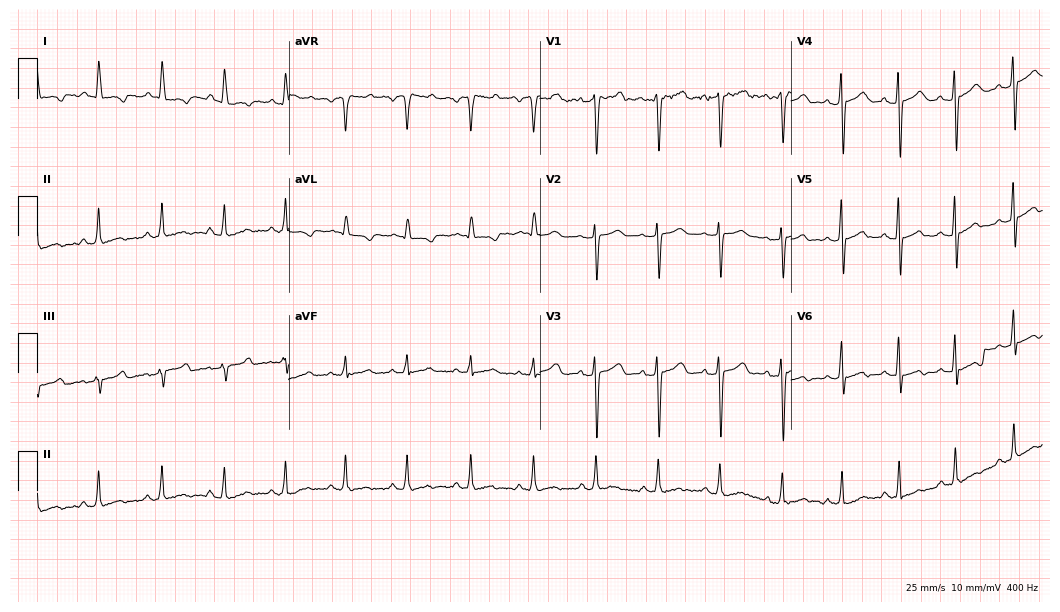
Electrocardiogram, a female patient, 28 years old. Of the six screened findings (first-degree AV block, right bundle branch block (RBBB), left bundle branch block (LBBB), sinus bradycardia, atrial fibrillation (AF), sinus tachycardia), none is recorded.